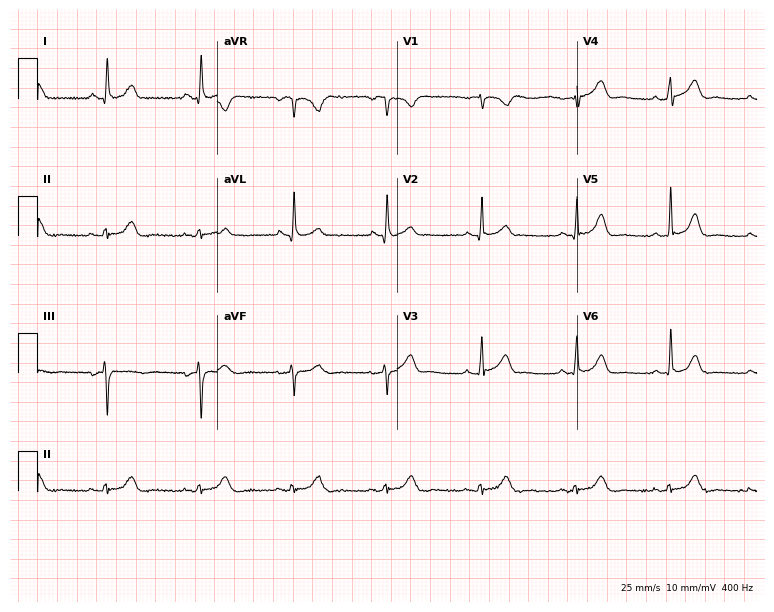
Standard 12-lead ECG recorded from a 63-year-old male (7.3-second recording at 400 Hz). Read as a normal ECG.